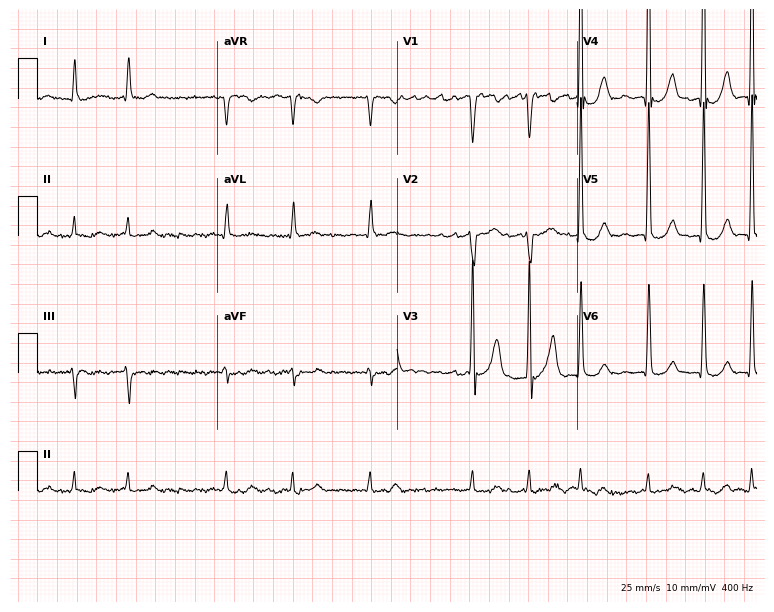
Electrocardiogram, a 79-year-old male patient. Of the six screened findings (first-degree AV block, right bundle branch block, left bundle branch block, sinus bradycardia, atrial fibrillation, sinus tachycardia), none is recorded. Findings outside these six are not listed.